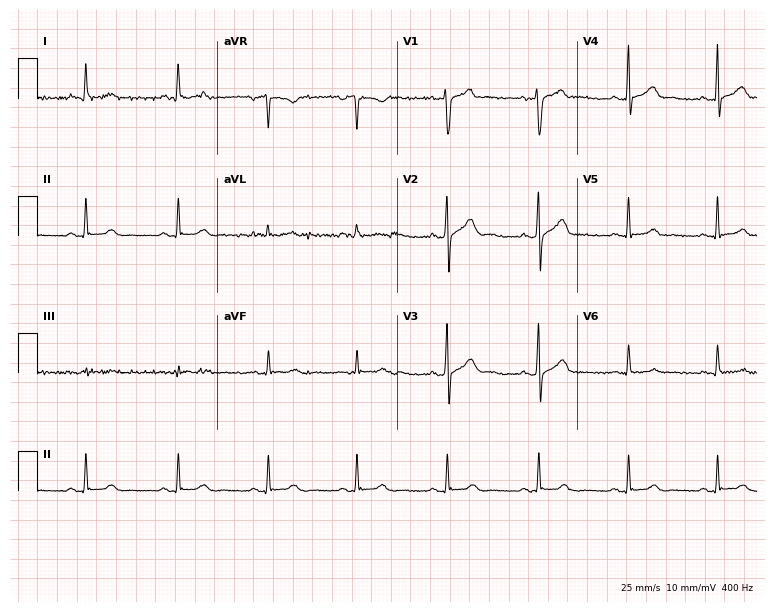
Resting 12-lead electrocardiogram (7.3-second recording at 400 Hz). Patient: a 46-year-old male. Read as a normal ECG.